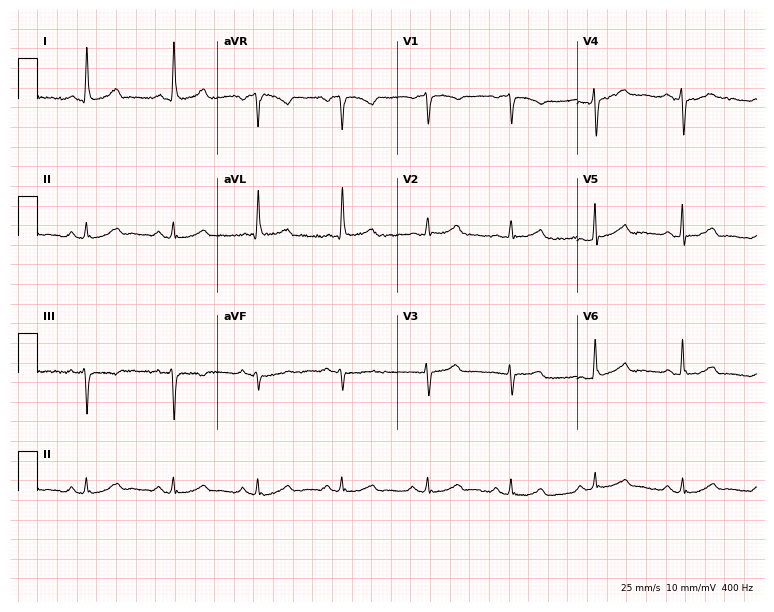
12-lead ECG (7.3-second recording at 400 Hz) from a 58-year-old female. Labelled as a normal ECG.